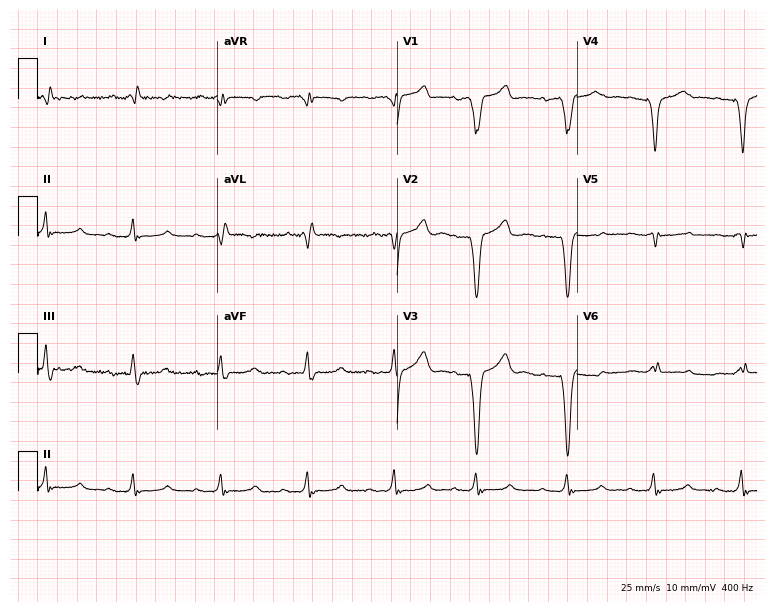
Resting 12-lead electrocardiogram. Patient: a female, 75 years old. None of these six findings is recorded: first-degree AV block, right bundle branch block (RBBB), left bundle branch block (LBBB), sinus bradycardia, atrial fibrillation (AF), sinus tachycardia.